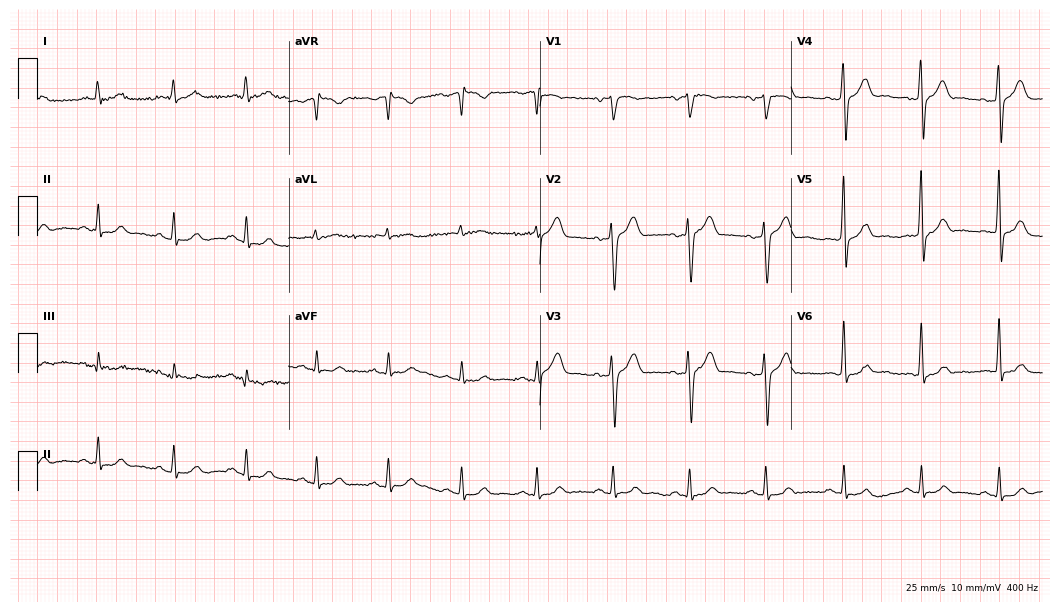
Resting 12-lead electrocardiogram (10.2-second recording at 400 Hz). Patient: a 69-year-old male. None of these six findings is recorded: first-degree AV block, right bundle branch block, left bundle branch block, sinus bradycardia, atrial fibrillation, sinus tachycardia. Other findings, if any, are not listed.